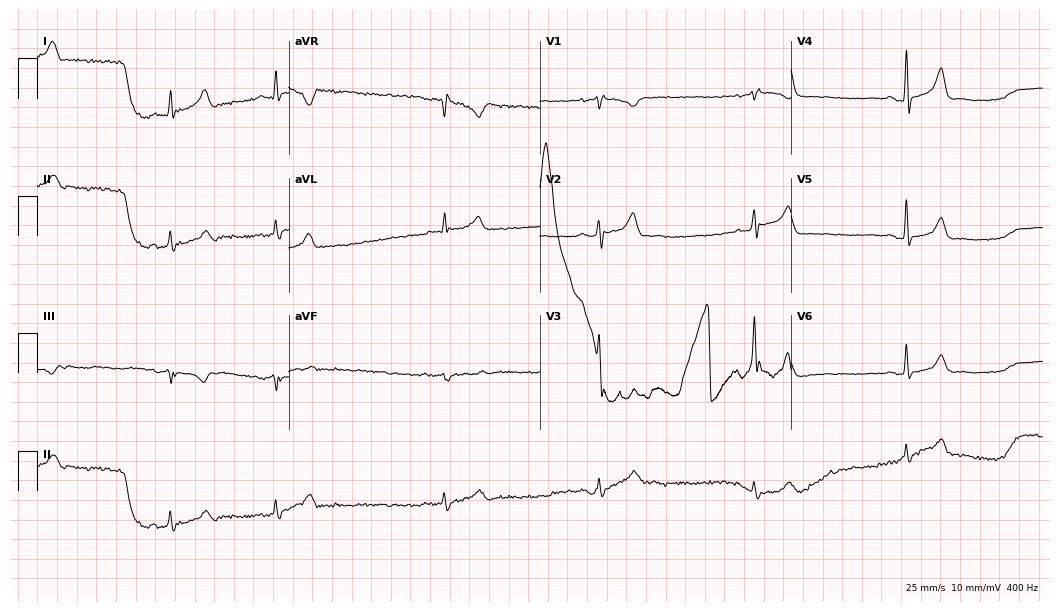
Standard 12-lead ECG recorded from a 27-year-old man. None of these six findings is recorded: first-degree AV block, right bundle branch block (RBBB), left bundle branch block (LBBB), sinus bradycardia, atrial fibrillation (AF), sinus tachycardia.